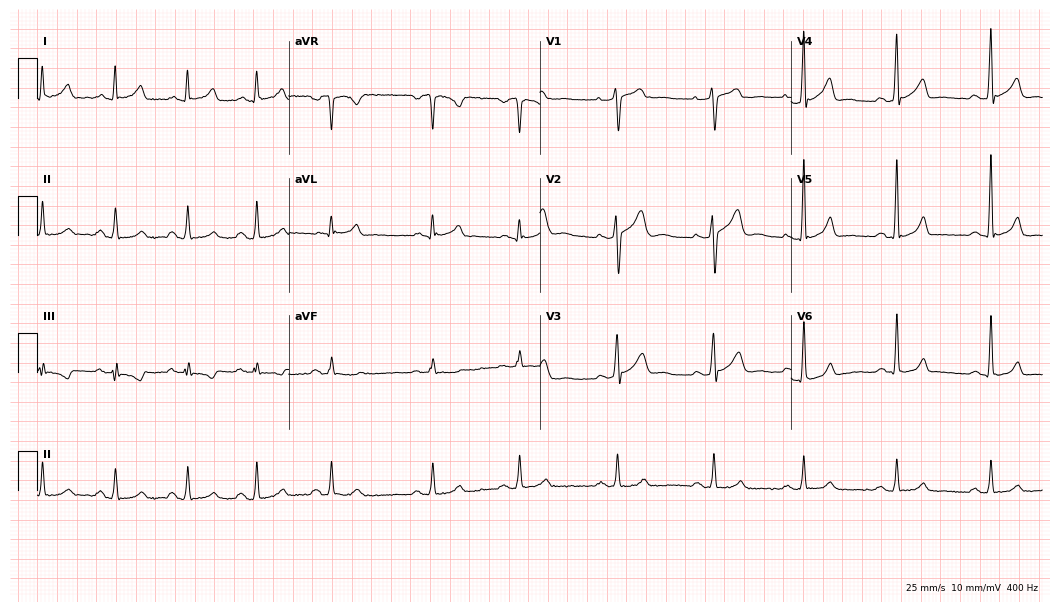
Resting 12-lead electrocardiogram. Patient: a 43-year-old man. None of these six findings is recorded: first-degree AV block, right bundle branch block, left bundle branch block, sinus bradycardia, atrial fibrillation, sinus tachycardia.